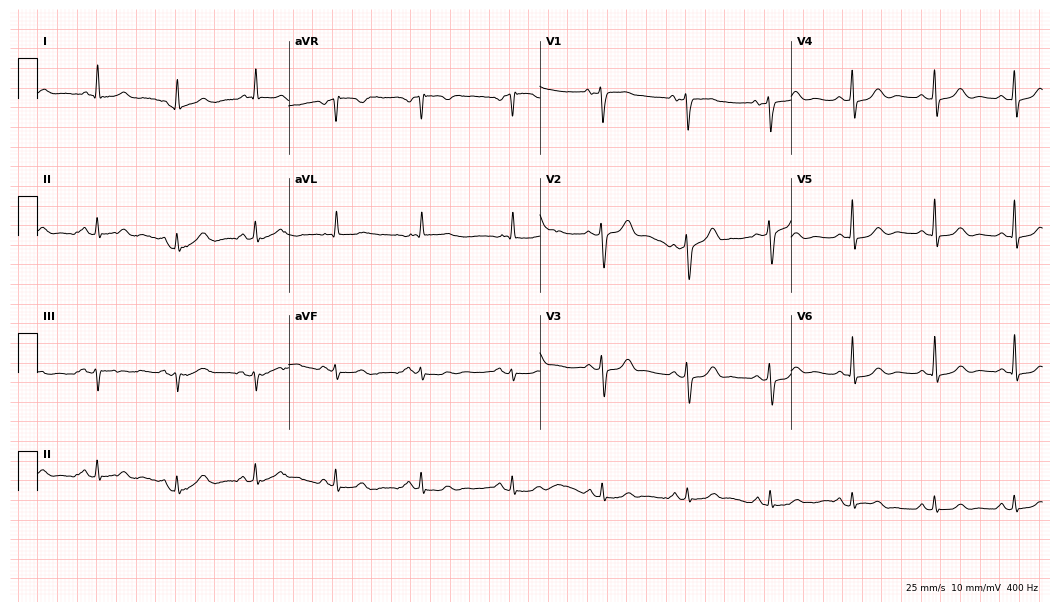
Electrocardiogram, a female patient, 84 years old. Overall reading on record: normal ECG.